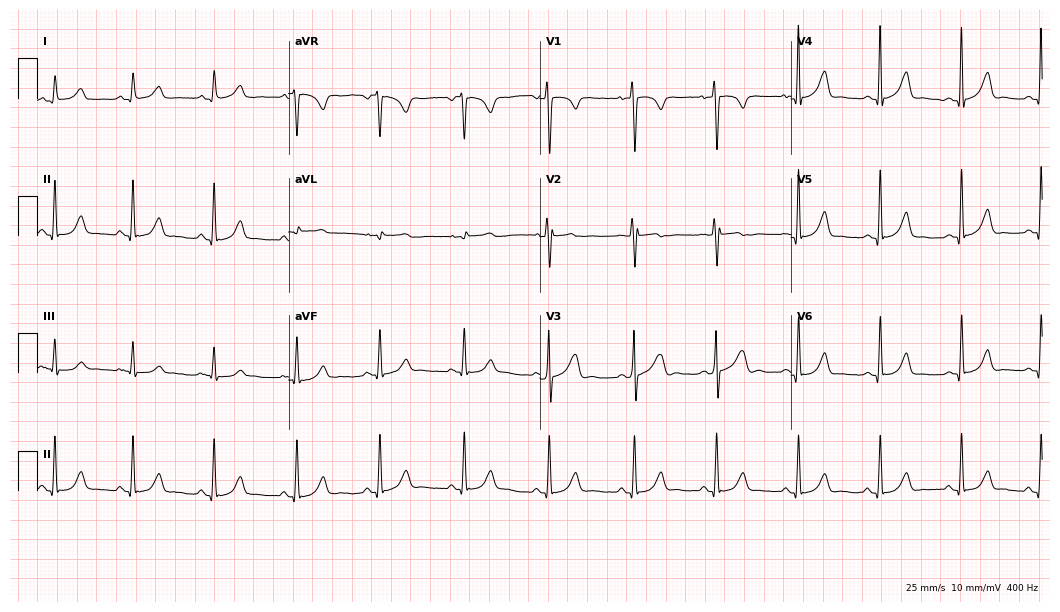
12-lead ECG (10.2-second recording at 400 Hz) from a male patient, 39 years old. Labelled as a normal ECG.